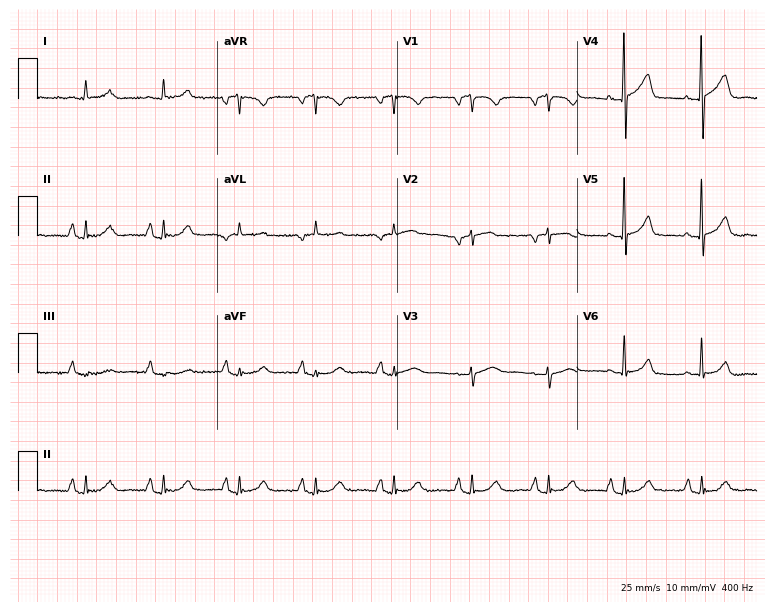
Electrocardiogram, a female, 82 years old. Of the six screened findings (first-degree AV block, right bundle branch block, left bundle branch block, sinus bradycardia, atrial fibrillation, sinus tachycardia), none is recorded.